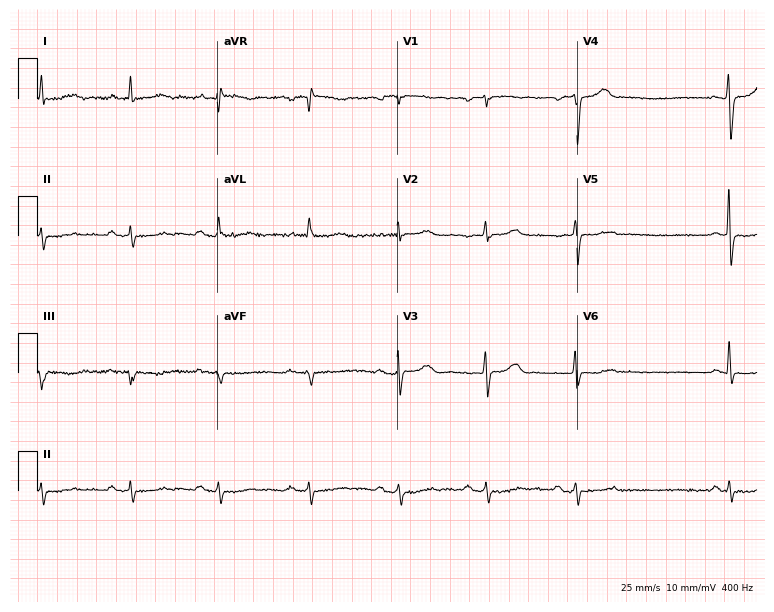
Electrocardiogram (7.3-second recording at 400 Hz), a female, 74 years old. Of the six screened findings (first-degree AV block, right bundle branch block, left bundle branch block, sinus bradycardia, atrial fibrillation, sinus tachycardia), none is recorded. Only these six findings were labelled.